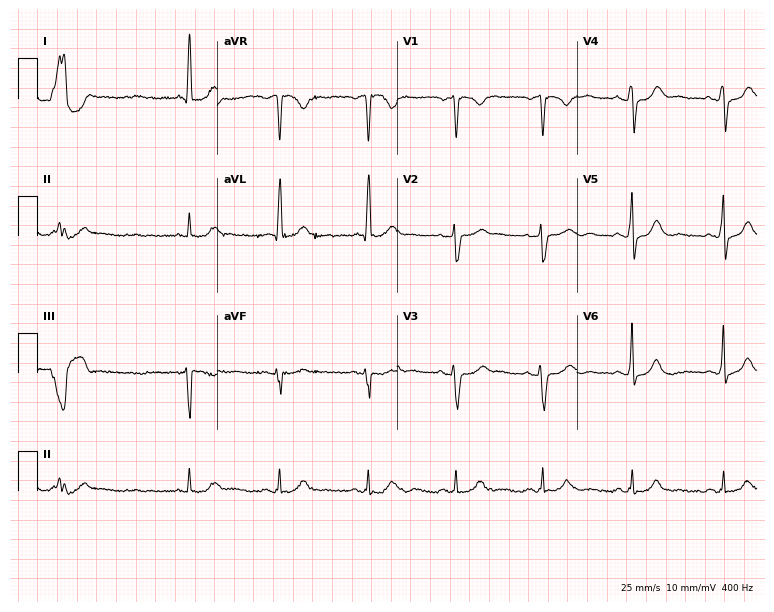
12-lead ECG from a male patient, 77 years old. Screened for six findings — first-degree AV block, right bundle branch block (RBBB), left bundle branch block (LBBB), sinus bradycardia, atrial fibrillation (AF), sinus tachycardia — none is recorded.